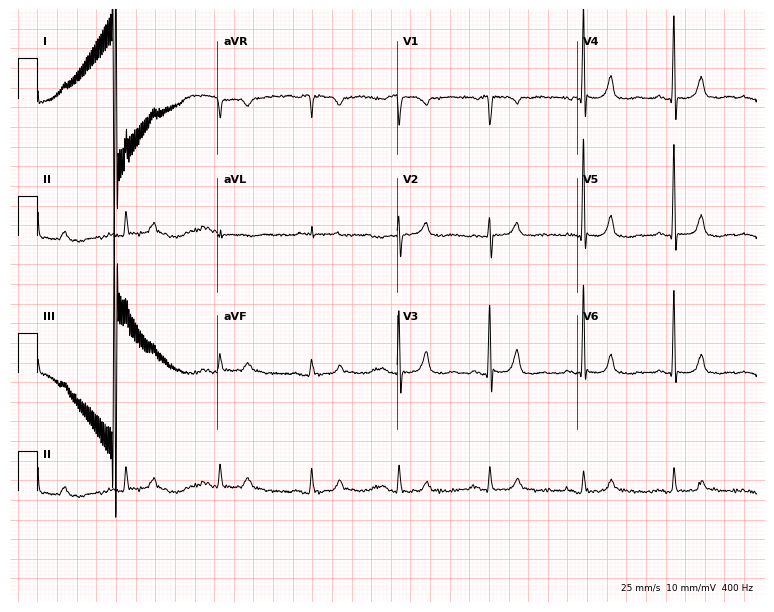
12-lead ECG from an 84-year-old female (7.3-second recording at 400 Hz). No first-degree AV block, right bundle branch block (RBBB), left bundle branch block (LBBB), sinus bradycardia, atrial fibrillation (AF) or sinus tachycardia recorded for this tracing.